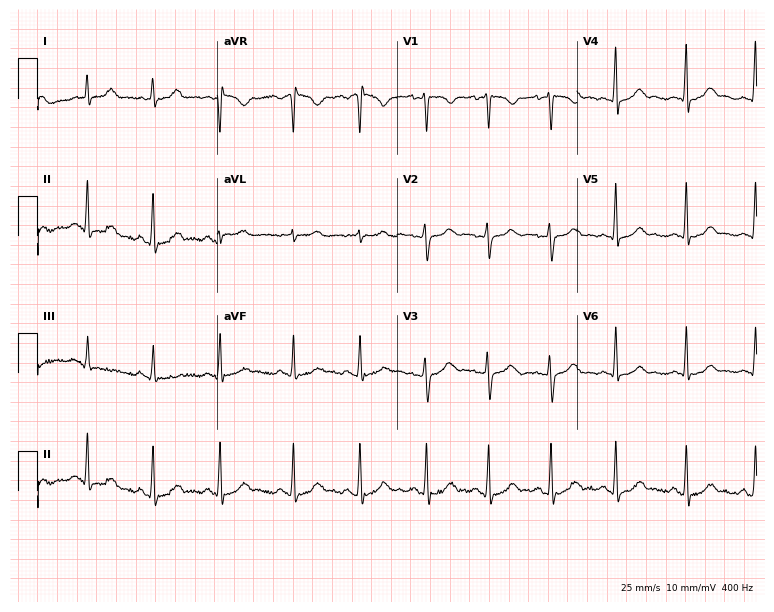
Electrocardiogram, a 17-year-old female. Overall reading on record: normal ECG.